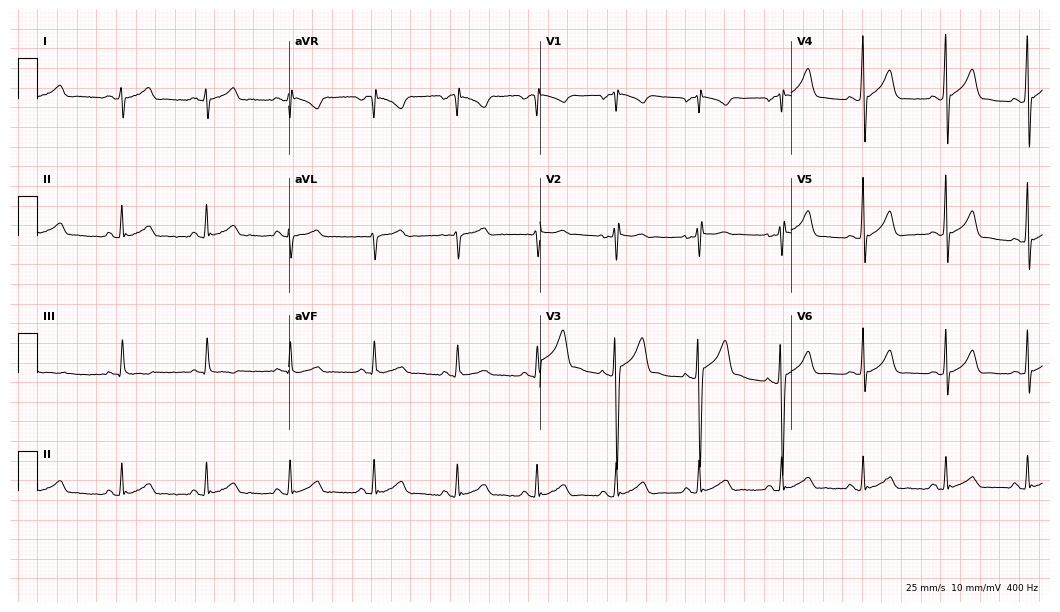
Resting 12-lead electrocardiogram. Patient: a male, 24 years old. None of these six findings is recorded: first-degree AV block, right bundle branch block, left bundle branch block, sinus bradycardia, atrial fibrillation, sinus tachycardia.